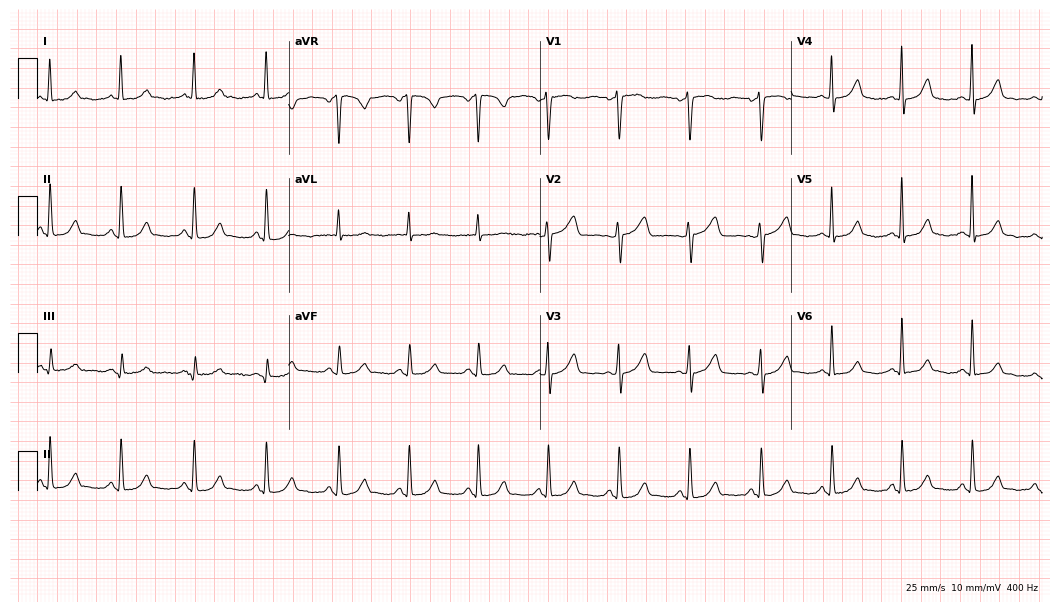
12-lead ECG (10.2-second recording at 400 Hz) from a woman, 59 years old. Labelled as a normal ECG.